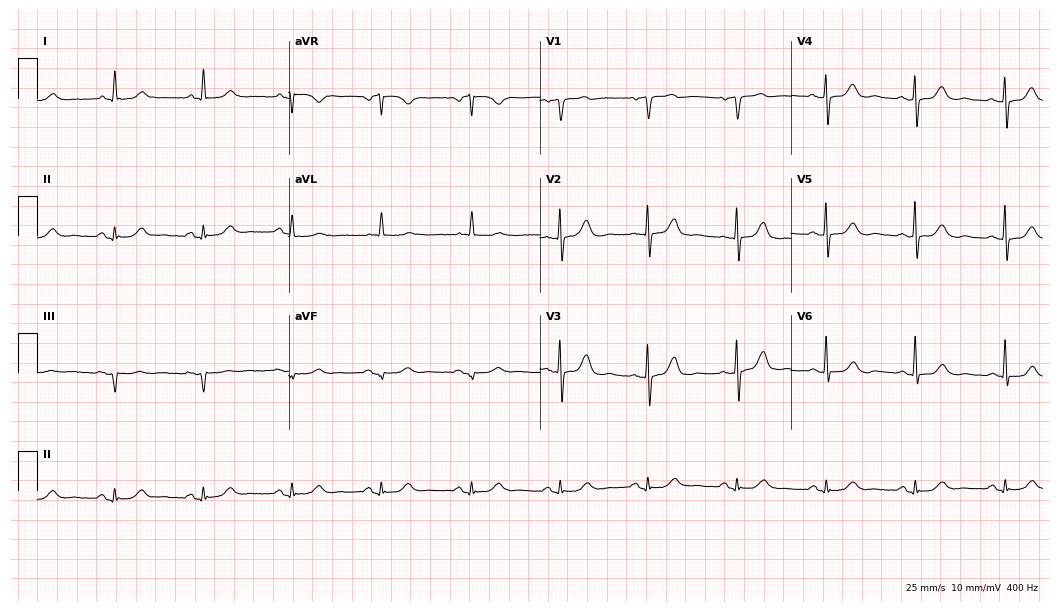
12-lead ECG (10.2-second recording at 400 Hz) from a female, 79 years old. Labelled as a normal ECG.